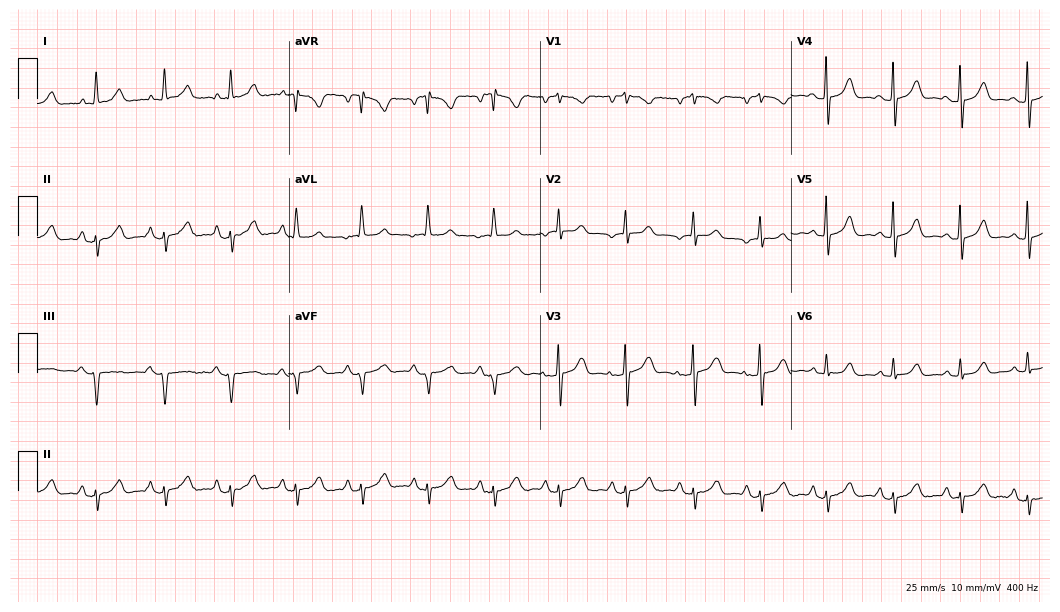
12-lead ECG from a female patient, 57 years old (10.2-second recording at 400 Hz). No first-degree AV block, right bundle branch block, left bundle branch block, sinus bradycardia, atrial fibrillation or sinus tachycardia recorded for this tracing.